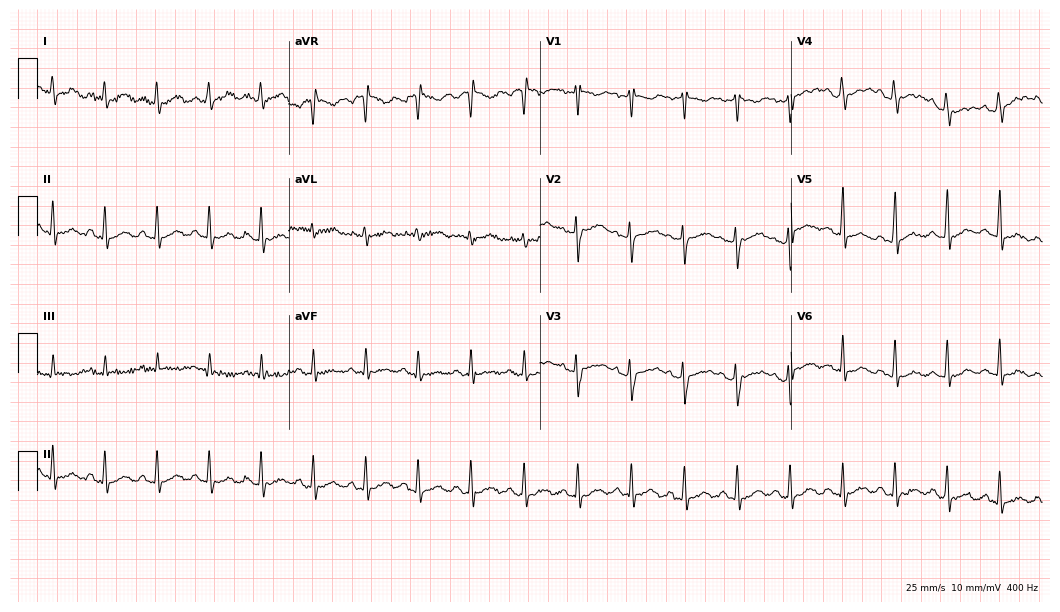
Electrocardiogram (10.2-second recording at 400 Hz), a 33-year-old female. Interpretation includes sinus tachycardia (a sinus rate of 100 beats per minute or more).